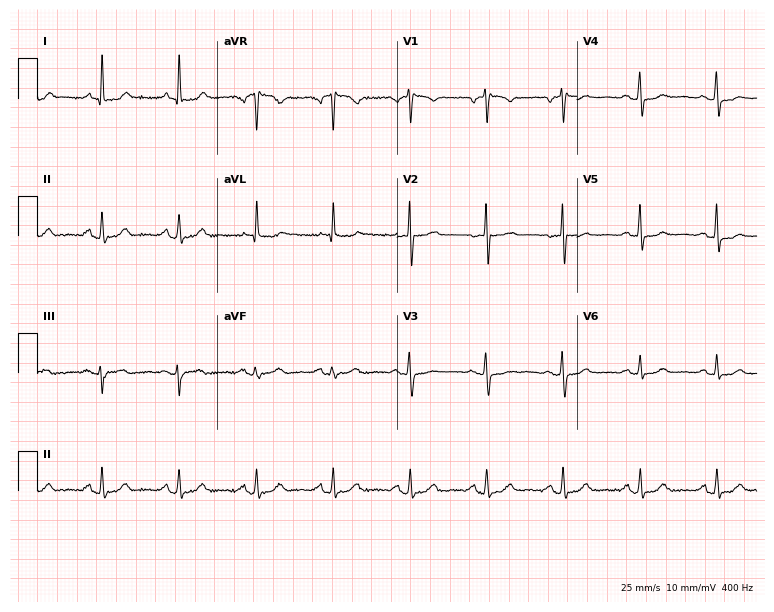
Standard 12-lead ECG recorded from a 65-year-old female. Read as a normal ECG.